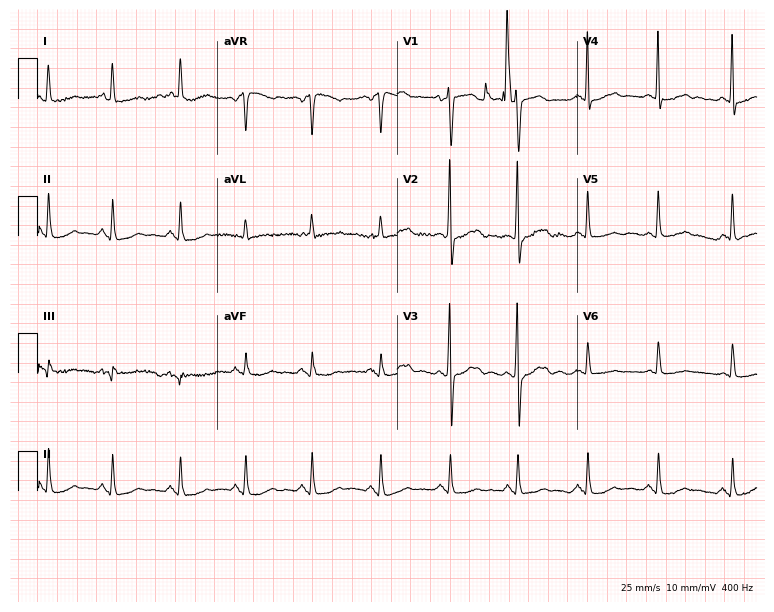
Standard 12-lead ECG recorded from an 85-year-old female patient. None of these six findings is recorded: first-degree AV block, right bundle branch block (RBBB), left bundle branch block (LBBB), sinus bradycardia, atrial fibrillation (AF), sinus tachycardia. Findings outside these six are not listed.